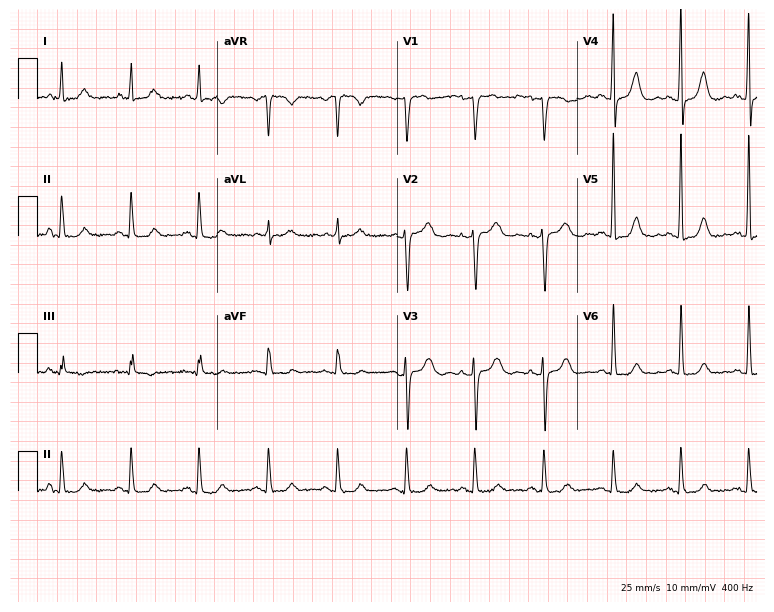
Standard 12-lead ECG recorded from a female, 80 years old. Read as a normal ECG.